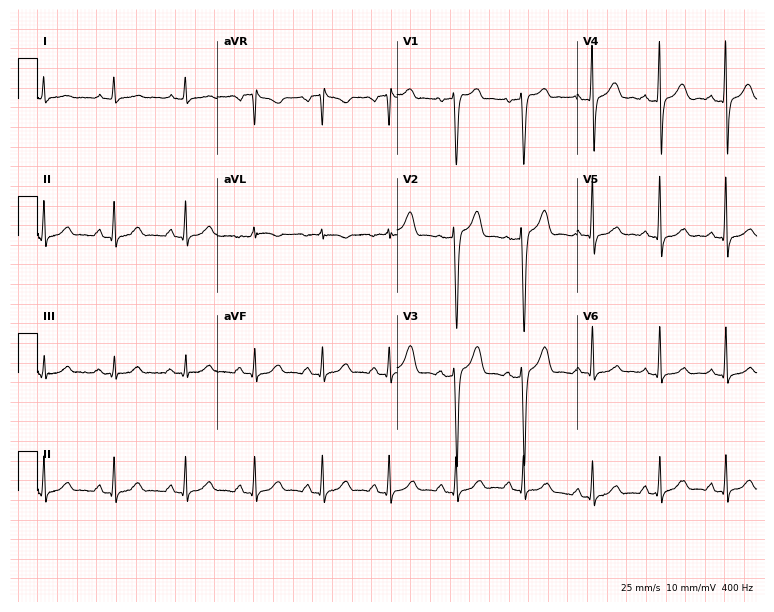
Electrocardiogram, a male patient, 48 years old. Of the six screened findings (first-degree AV block, right bundle branch block (RBBB), left bundle branch block (LBBB), sinus bradycardia, atrial fibrillation (AF), sinus tachycardia), none is recorded.